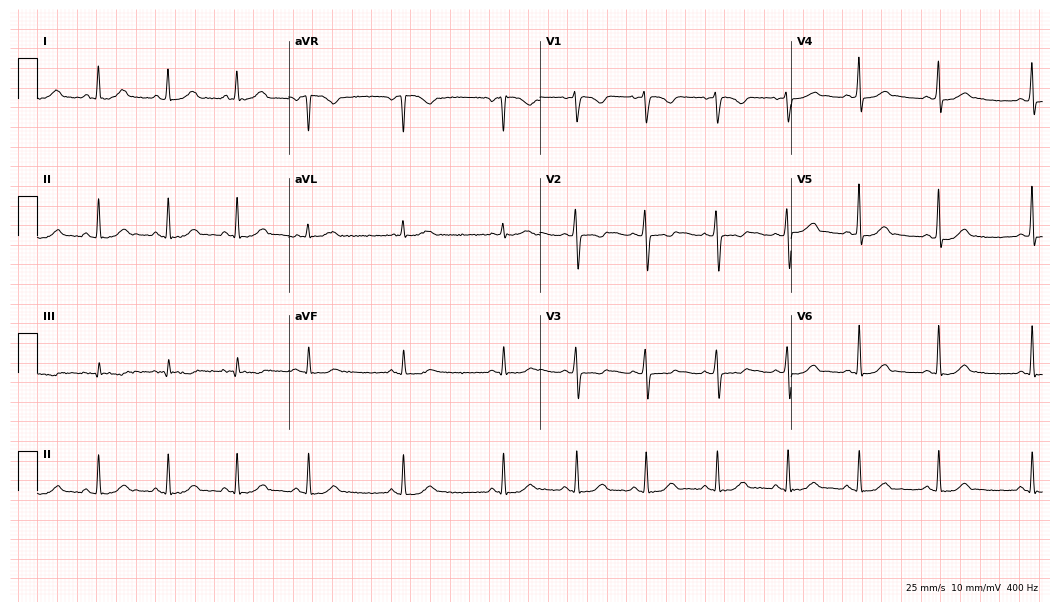
Standard 12-lead ECG recorded from a female patient, 21 years old (10.2-second recording at 400 Hz). Read as a normal ECG.